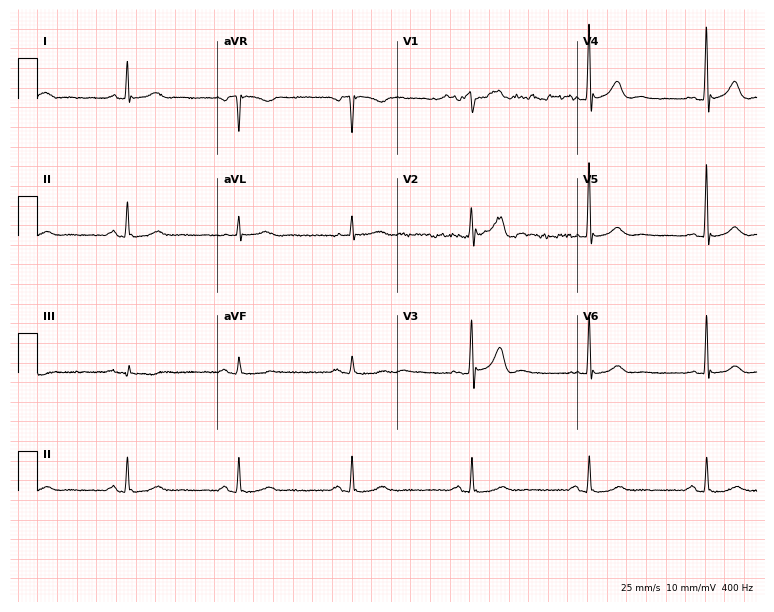
12-lead ECG from a male, 64 years old. Screened for six findings — first-degree AV block, right bundle branch block, left bundle branch block, sinus bradycardia, atrial fibrillation, sinus tachycardia — none is recorded. Other findings, if any, are not listed.